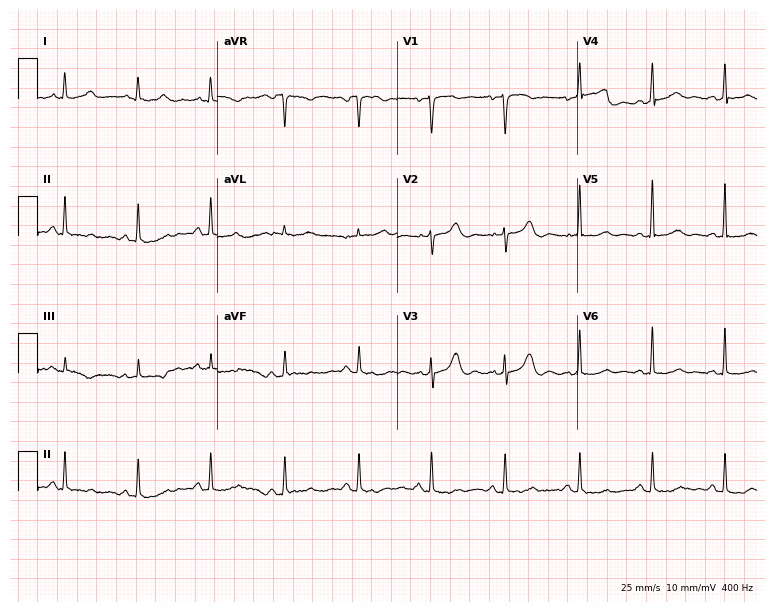
12-lead ECG from a woman, 54 years old. Screened for six findings — first-degree AV block, right bundle branch block, left bundle branch block, sinus bradycardia, atrial fibrillation, sinus tachycardia — none is recorded.